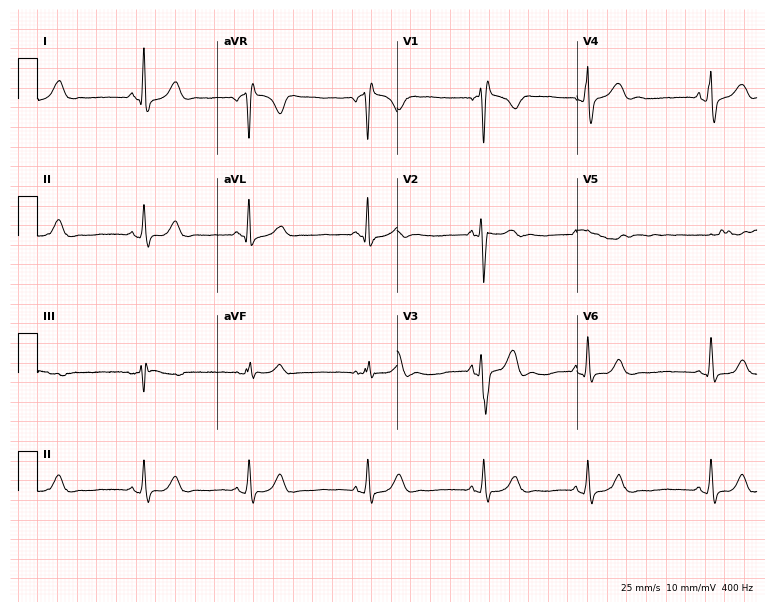
12-lead ECG from a 33-year-old male (7.3-second recording at 400 Hz). No first-degree AV block, right bundle branch block (RBBB), left bundle branch block (LBBB), sinus bradycardia, atrial fibrillation (AF) or sinus tachycardia recorded for this tracing.